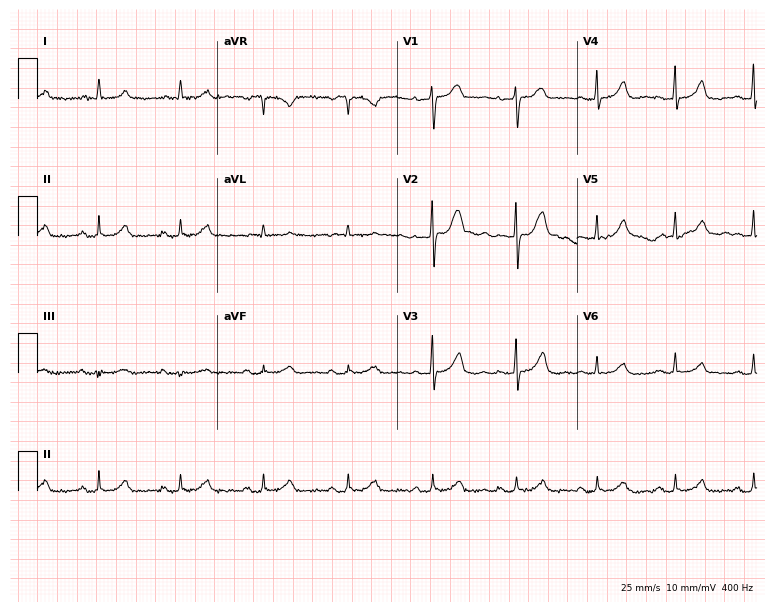
Electrocardiogram, a female patient, 72 years old. Of the six screened findings (first-degree AV block, right bundle branch block, left bundle branch block, sinus bradycardia, atrial fibrillation, sinus tachycardia), none is recorded.